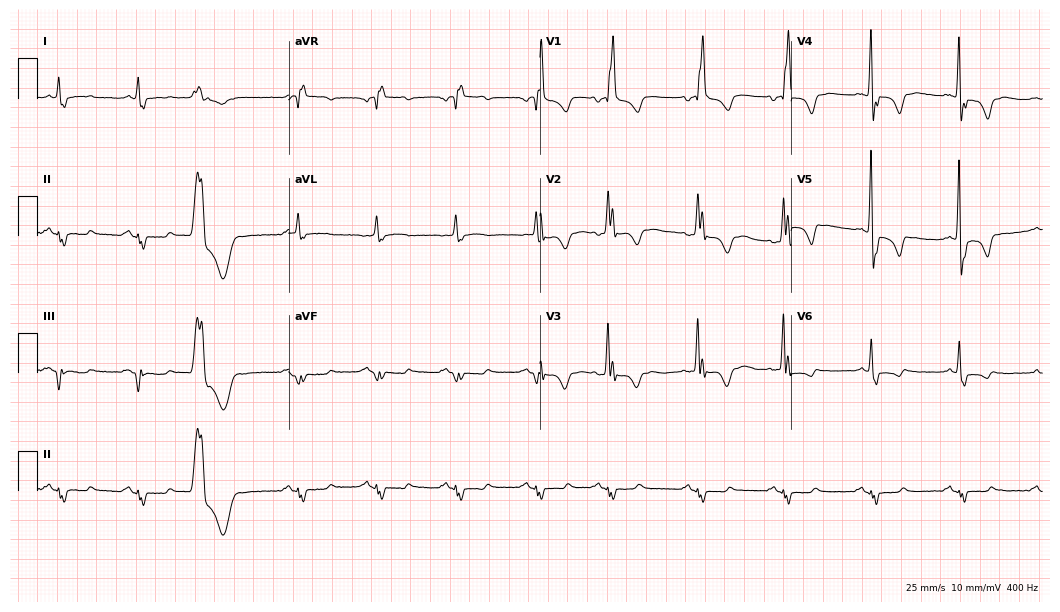
Electrocardiogram, a male, 60 years old. Interpretation includes right bundle branch block.